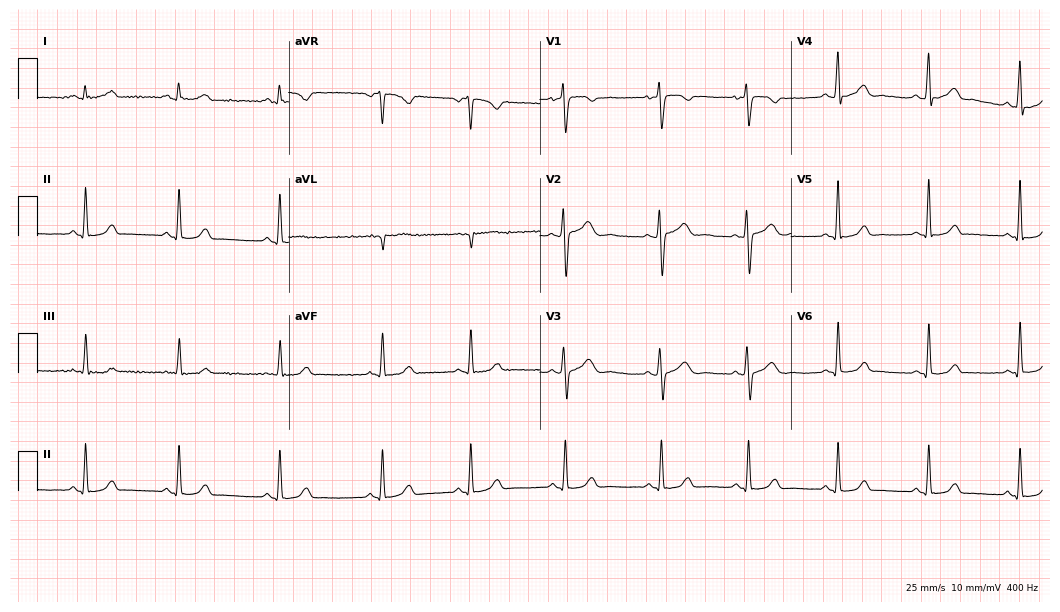
12-lead ECG from a 22-year-old female patient. Recorded interpretation: within normal limits.